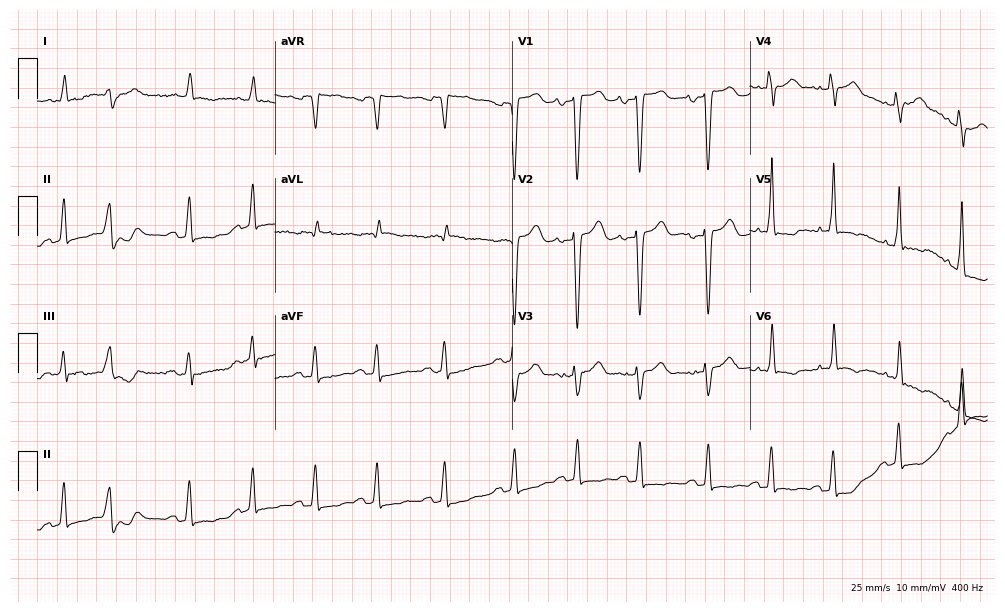
Electrocardiogram, a man, 73 years old. Of the six screened findings (first-degree AV block, right bundle branch block, left bundle branch block, sinus bradycardia, atrial fibrillation, sinus tachycardia), none is recorded. Other findings, if any, are not listed.